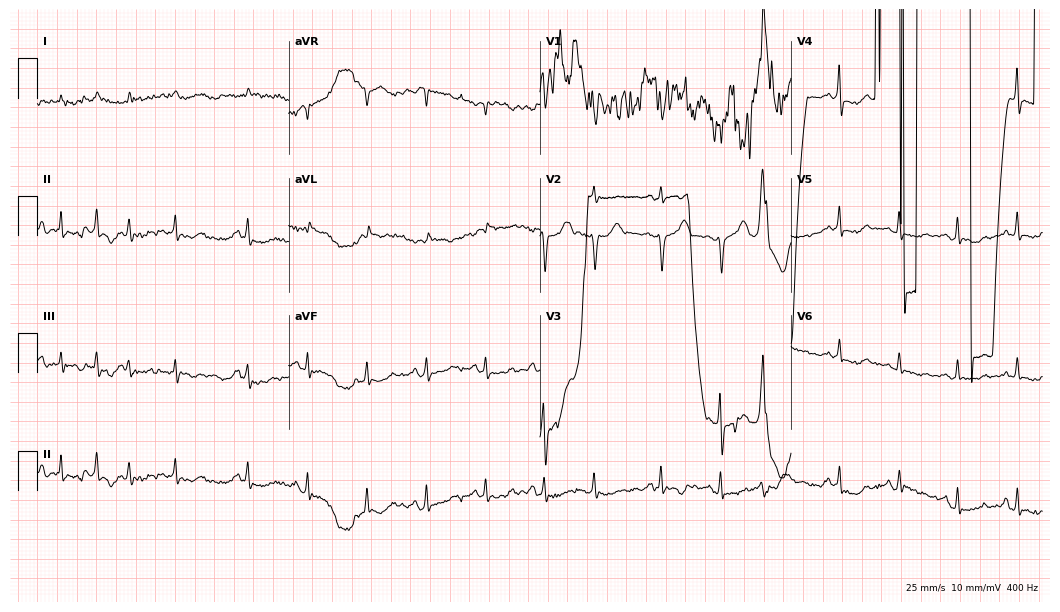
Resting 12-lead electrocardiogram (10.2-second recording at 400 Hz). Patient: an 85-year-old female. None of these six findings is recorded: first-degree AV block, right bundle branch block, left bundle branch block, sinus bradycardia, atrial fibrillation, sinus tachycardia.